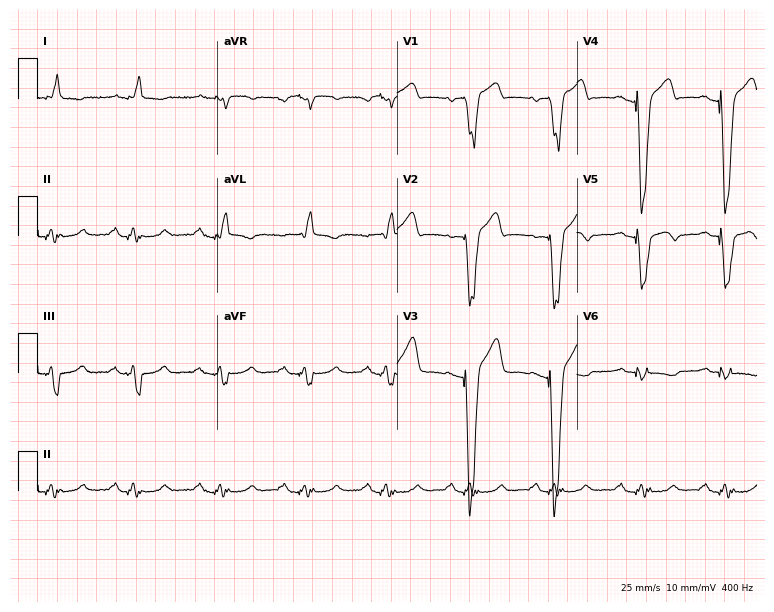
Electrocardiogram (7.3-second recording at 400 Hz), a 67-year-old man. Of the six screened findings (first-degree AV block, right bundle branch block, left bundle branch block, sinus bradycardia, atrial fibrillation, sinus tachycardia), none is recorded.